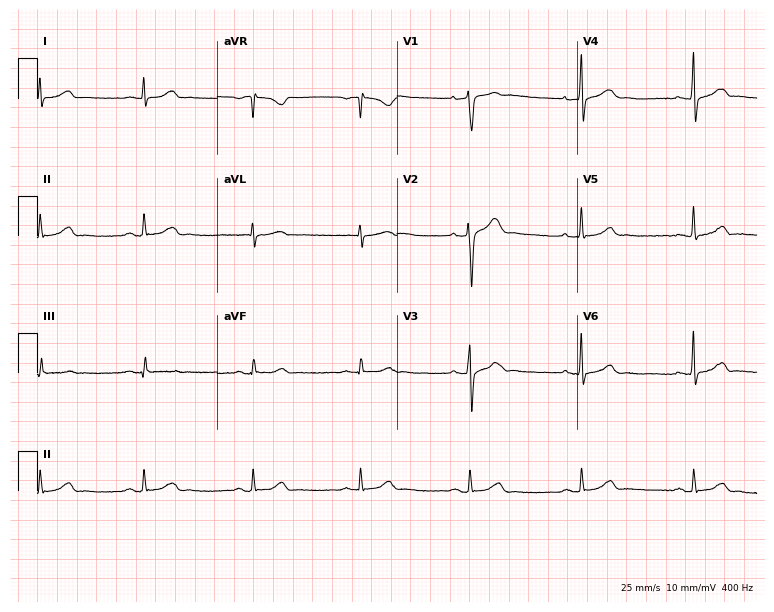
12-lead ECG (7.3-second recording at 400 Hz) from a 50-year-old male. Labelled as a normal ECG.